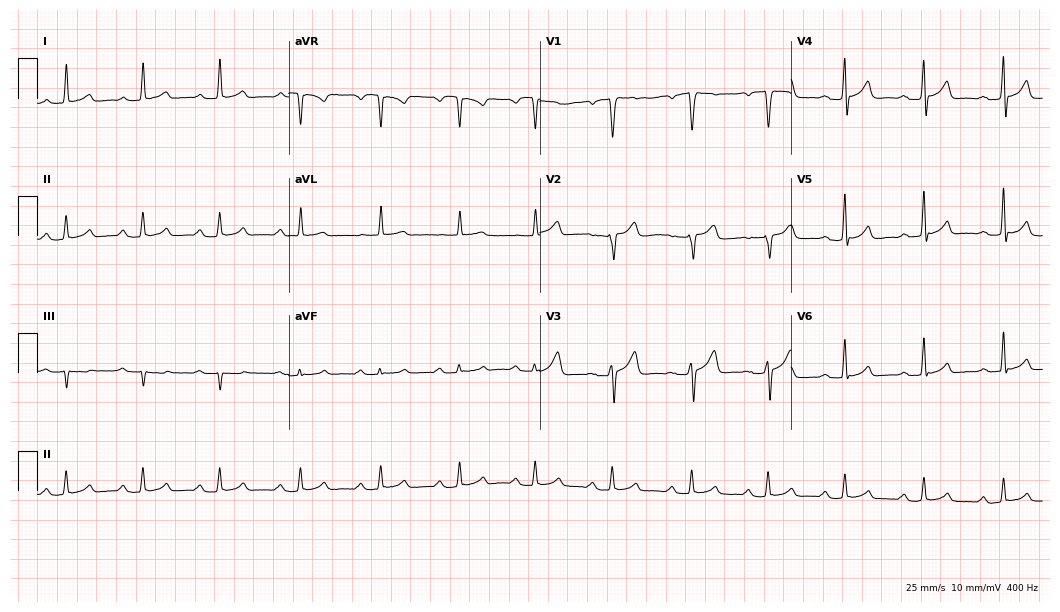
Electrocardiogram, a 56-year-old female. Interpretation includes first-degree AV block.